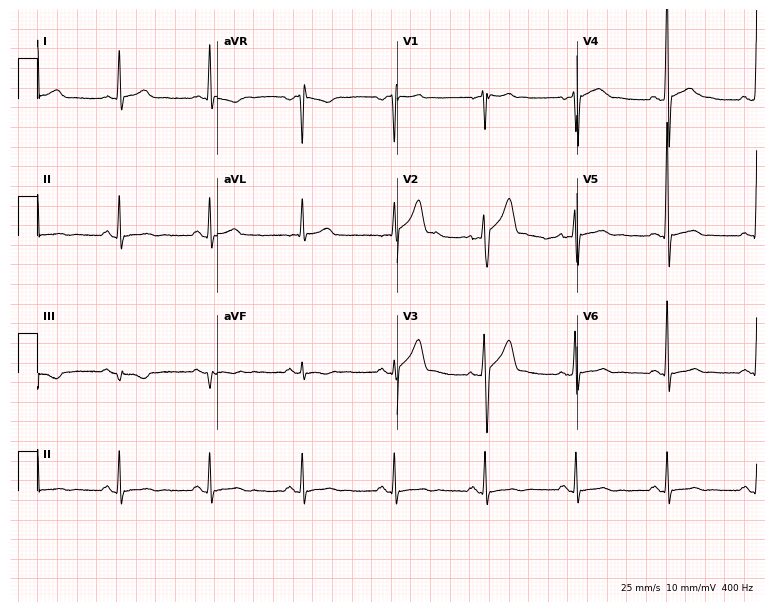
12-lead ECG from a male patient, 37 years old. Recorded interpretation: within normal limits.